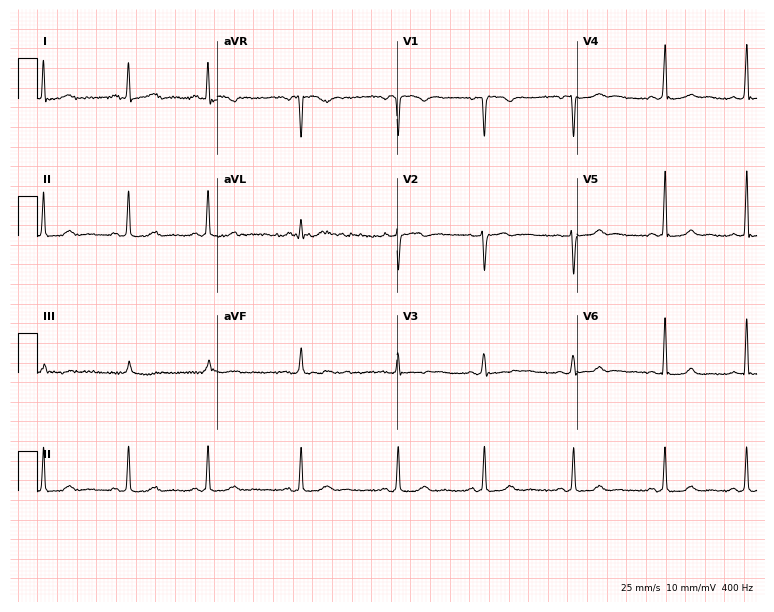
12-lead ECG from a female patient, 29 years old (7.3-second recording at 400 Hz). No first-degree AV block, right bundle branch block (RBBB), left bundle branch block (LBBB), sinus bradycardia, atrial fibrillation (AF) or sinus tachycardia recorded for this tracing.